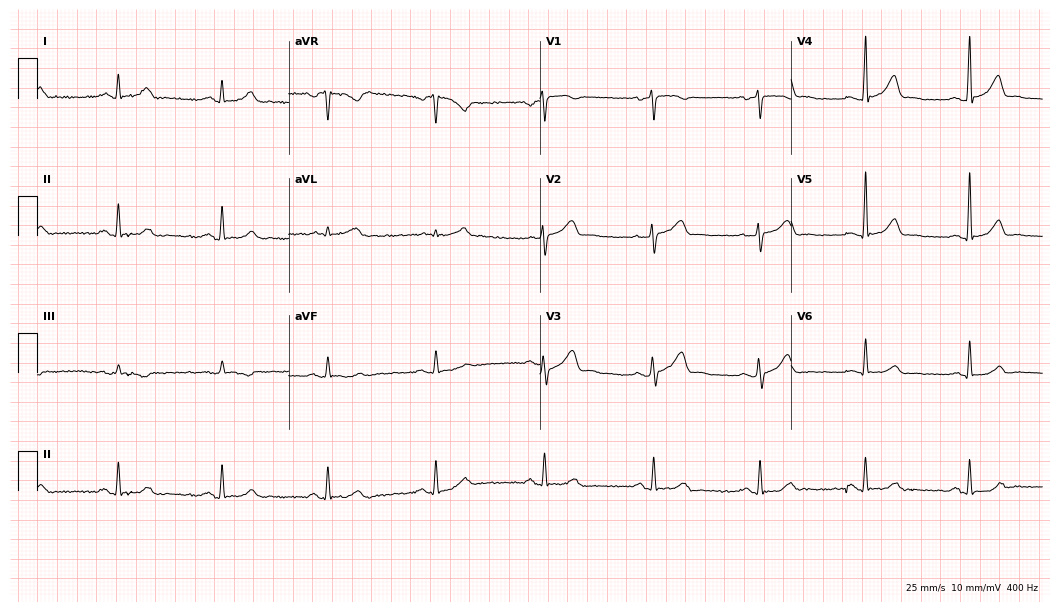
Resting 12-lead electrocardiogram (10.2-second recording at 400 Hz). Patient: a female, 46 years old. Read as a normal ECG.